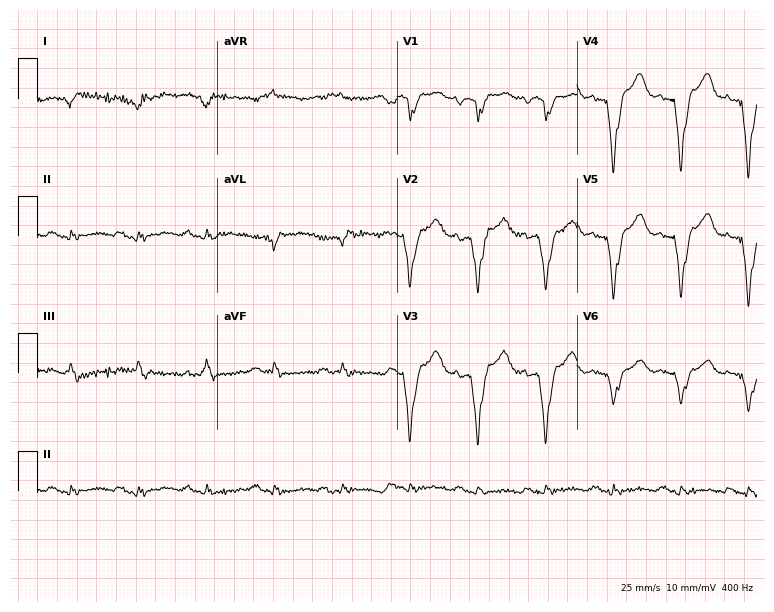
Resting 12-lead electrocardiogram (7.3-second recording at 400 Hz). Patient: a 56-year-old female. None of these six findings is recorded: first-degree AV block, right bundle branch block (RBBB), left bundle branch block (LBBB), sinus bradycardia, atrial fibrillation (AF), sinus tachycardia.